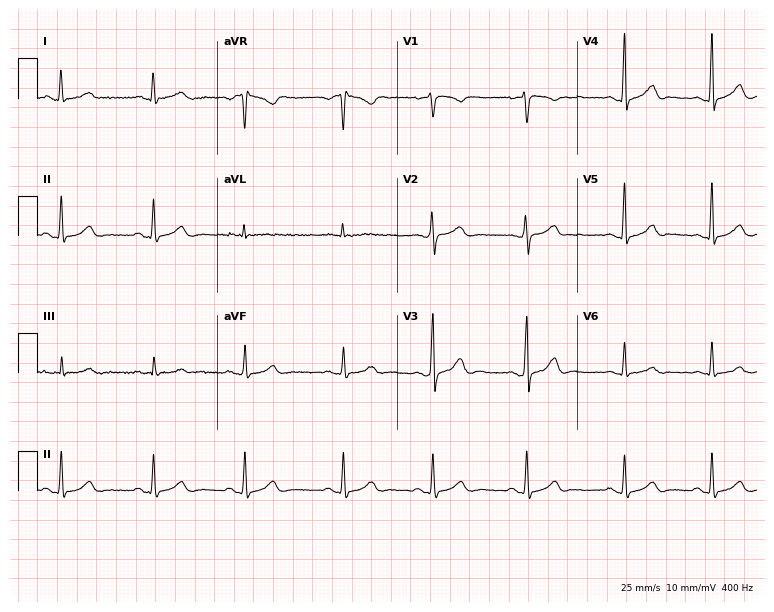
Electrocardiogram (7.3-second recording at 400 Hz), a 29-year-old female patient. Overall reading on record: normal ECG.